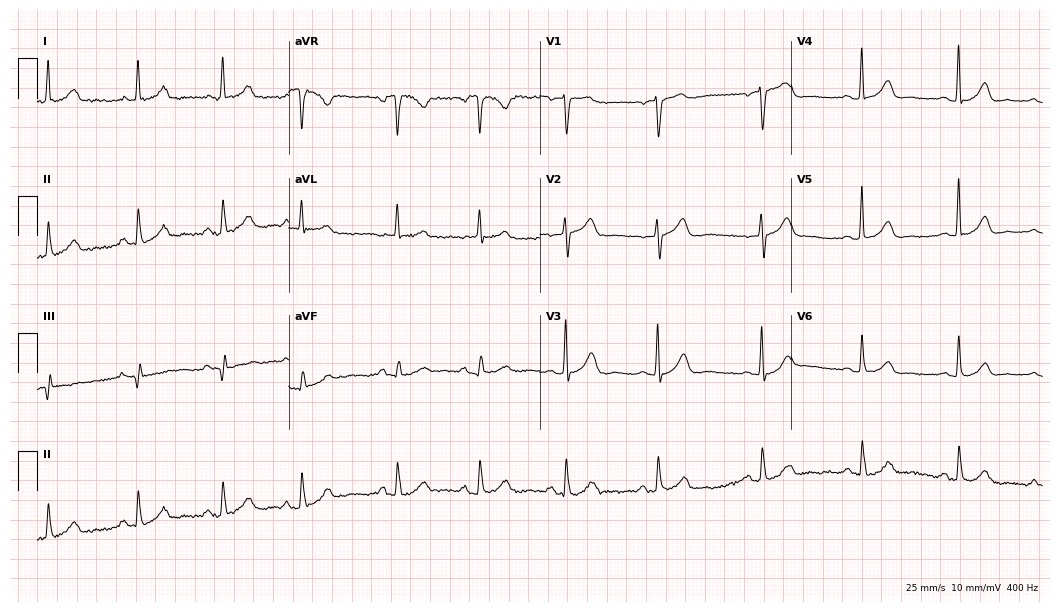
ECG — a female patient, 83 years old. Labelled as a normal ECG.